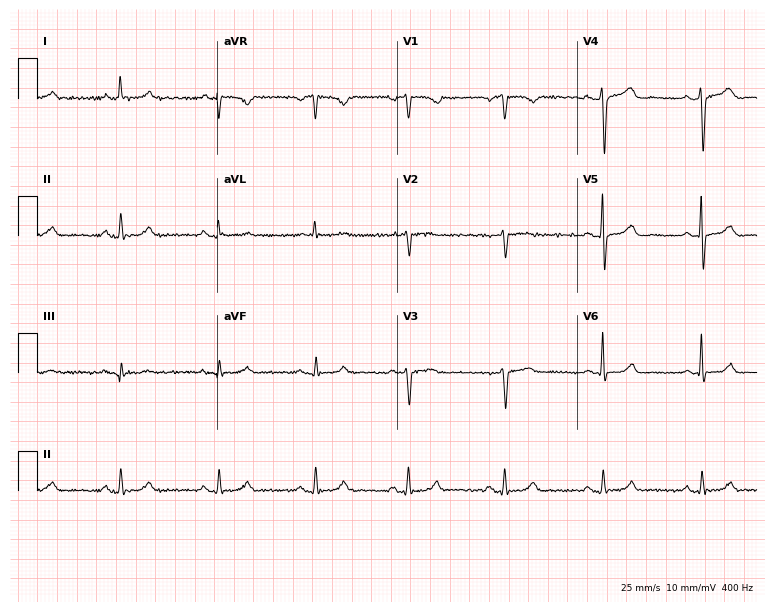
ECG (7.3-second recording at 400 Hz) — a 79-year-old woman. Screened for six findings — first-degree AV block, right bundle branch block, left bundle branch block, sinus bradycardia, atrial fibrillation, sinus tachycardia — none is recorded. Findings outside these six are not listed.